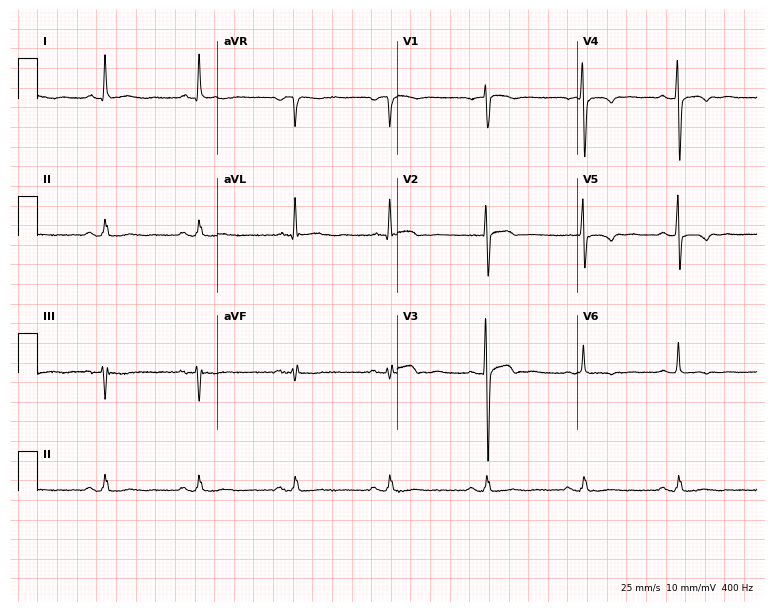
12-lead ECG (7.3-second recording at 400 Hz) from a 79-year-old male. Screened for six findings — first-degree AV block, right bundle branch block, left bundle branch block, sinus bradycardia, atrial fibrillation, sinus tachycardia — none is recorded. Findings outside these six are not listed.